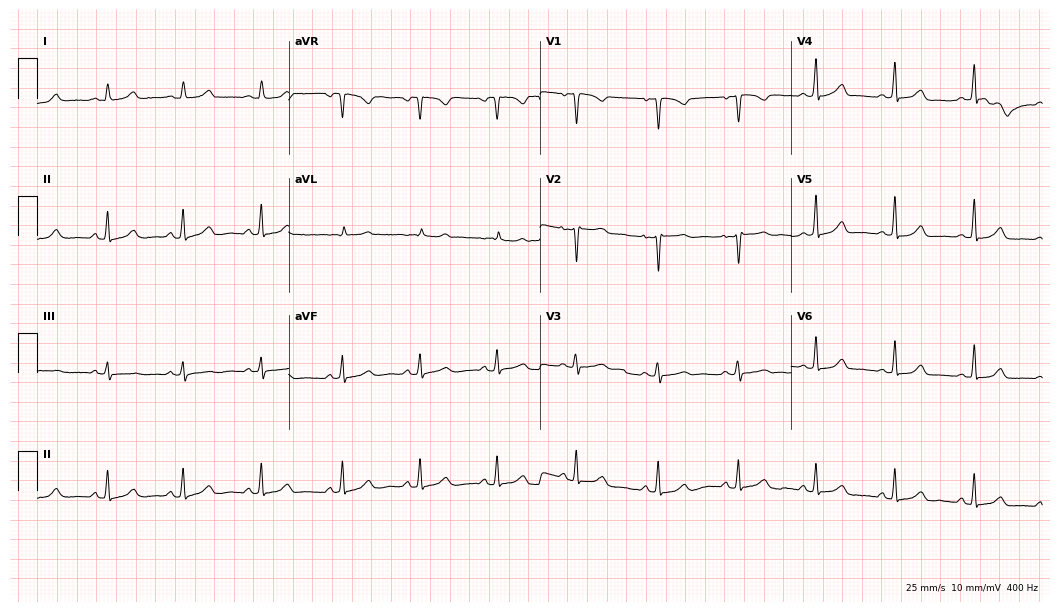
12-lead ECG from a female patient, 44 years old (10.2-second recording at 400 Hz). Recorded interpretation: within normal limits.